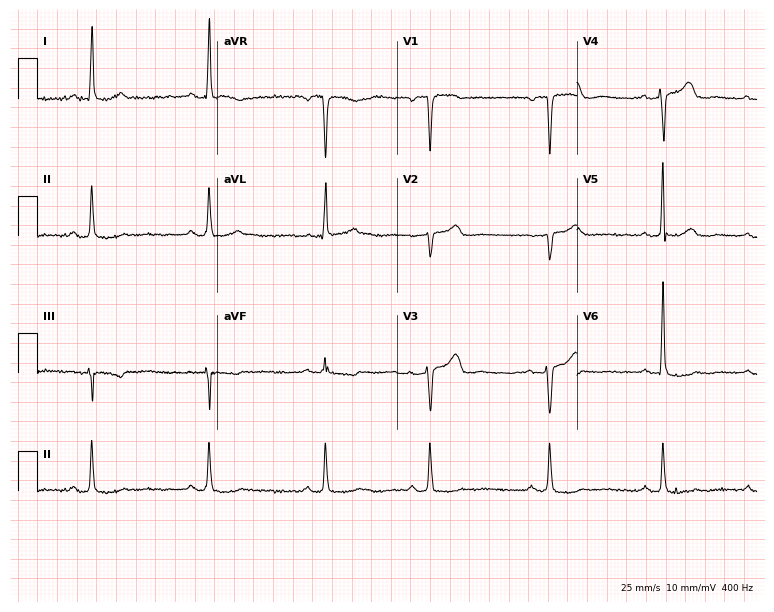
Electrocardiogram (7.3-second recording at 400 Hz), a female, 47 years old. Of the six screened findings (first-degree AV block, right bundle branch block (RBBB), left bundle branch block (LBBB), sinus bradycardia, atrial fibrillation (AF), sinus tachycardia), none is recorded.